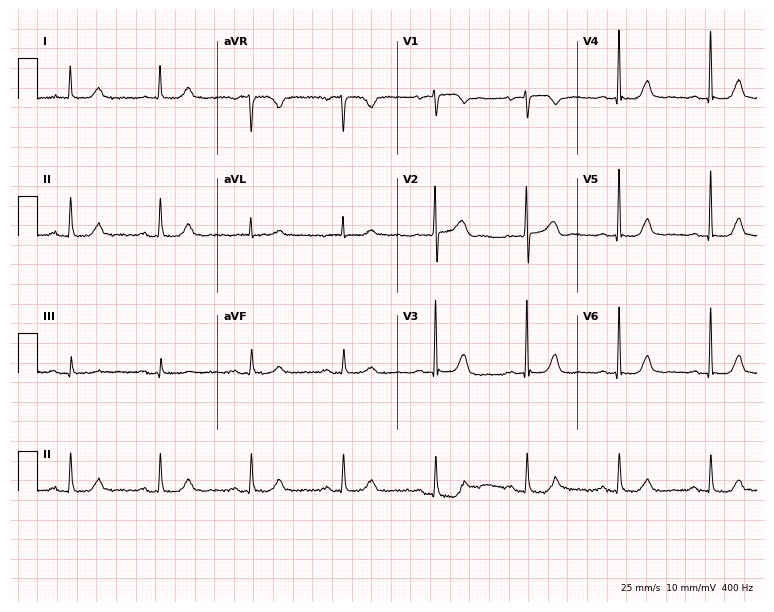
12-lead ECG from a 72-year-old female (7.3-second recording at 400 Hz). Recorded interpretation: within normal limits.